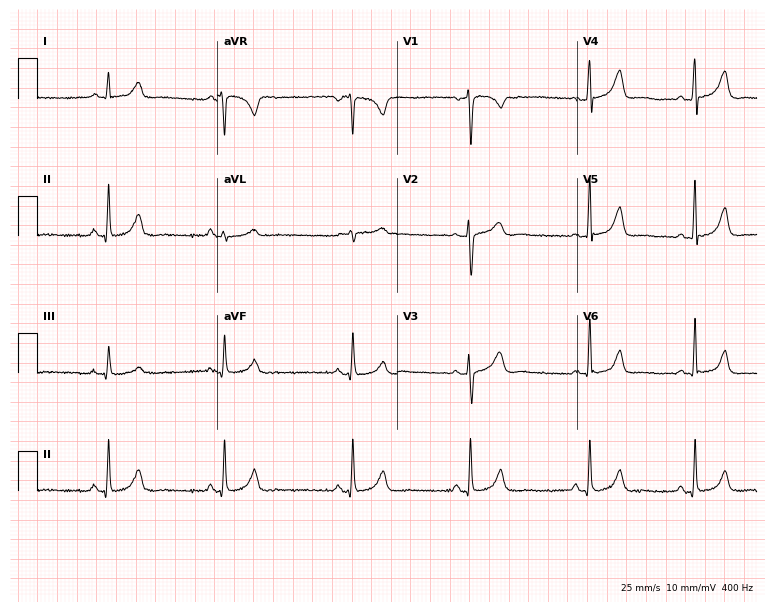
Resting 12-lead electrocardiogram (7.3-second recording at 400 Hz). Patient: a 42-year-old woman. None of these six findings is recorded: first-degree AV block, right bundle branch block, left bundle branch block, sinus bradycardia, atrial fibrillation, sinus tachycardia.